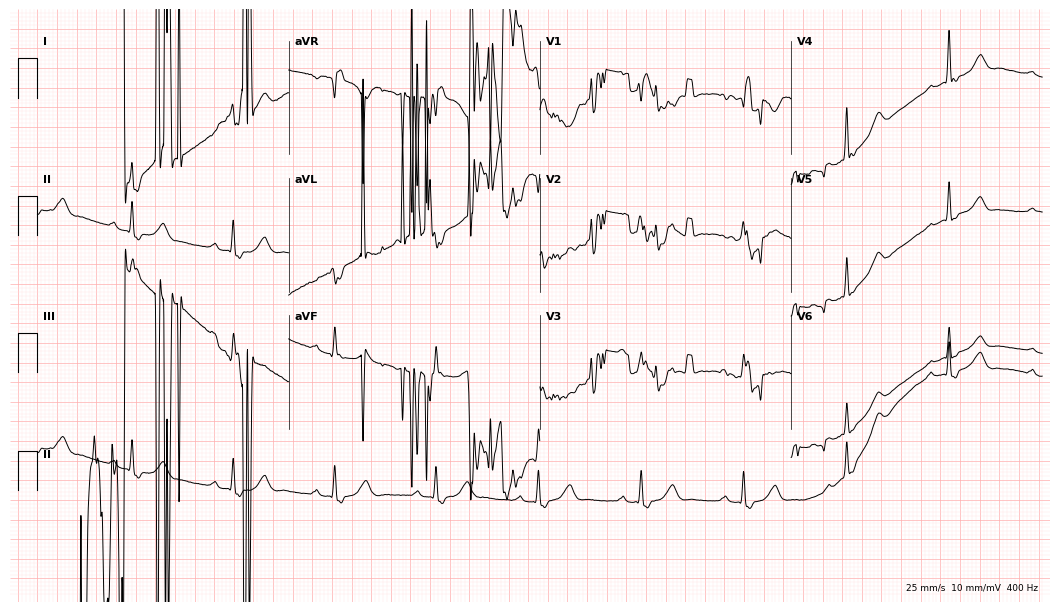
Resting 12-lead electrocardiogram. Patient: a 68-year-old male. None of these six findings is recorded: first-degree AV block, right bundle branch block, left bundle branch block, sinus bradycardia, atrial fibrillation, sinus tachycardia. Only these six findings were labelled.